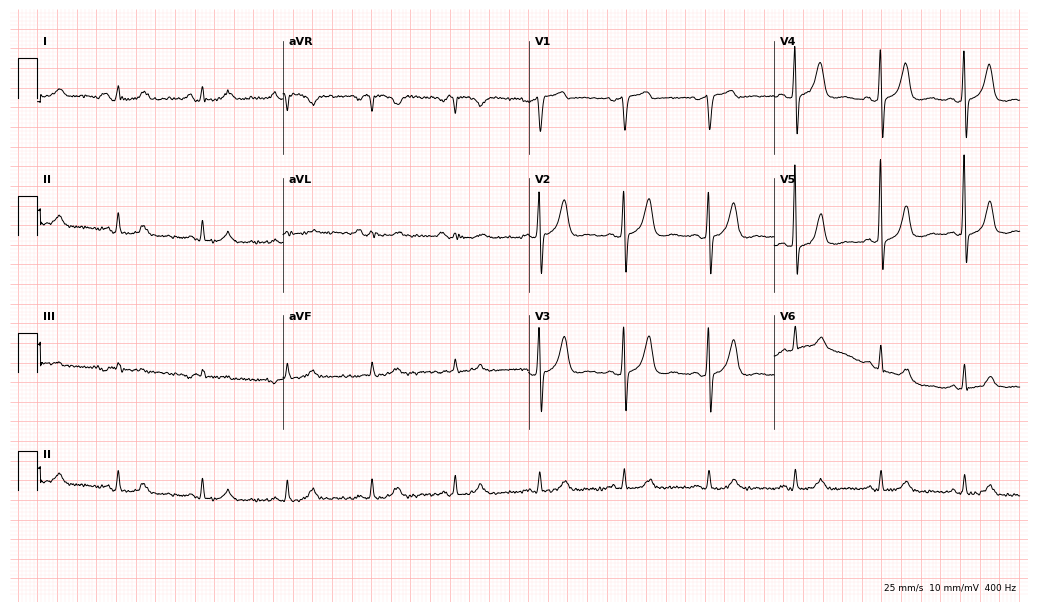
Resting 12-lead electrocardiogram. Patient: a 70-year-old man. None of these six findings is recorded: first-degree AV block, right bundle branch block, left bundle branch block, sinus bradycardia, atrial fibrillation, sinus tachycardia.